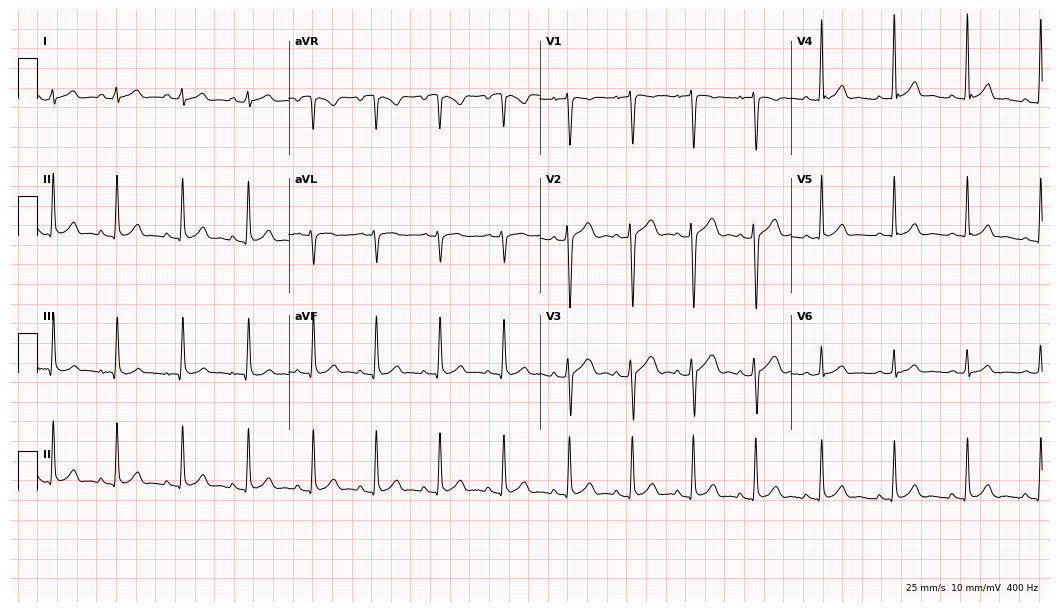
12-lead ECG from a male, 20 years old. Labelled as a normal ECG.